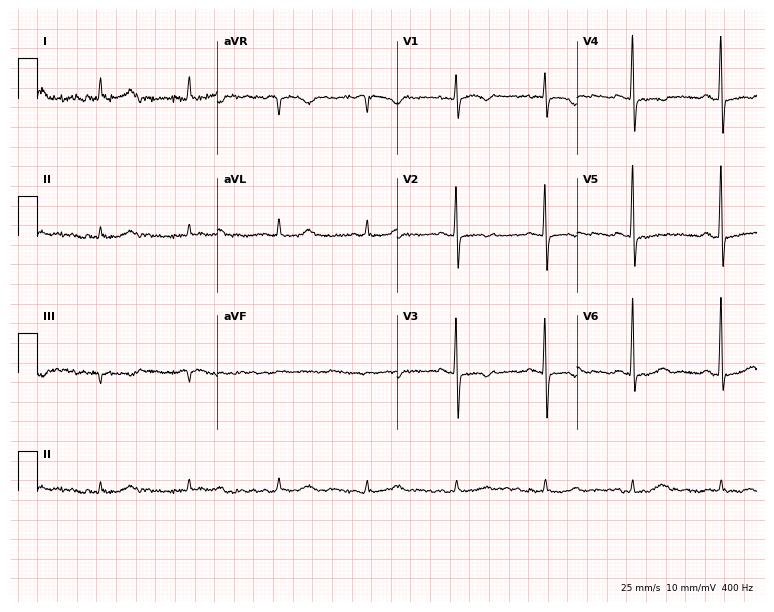
12-lead ECG from a female, 80 years old (7.3-second recording at 400 Hz). No first-degree AV block, right bundle branch block, left bundle branch block, sinus bradycardia, atrial fibrillation or sinus tachycardia recorded for this tracing.